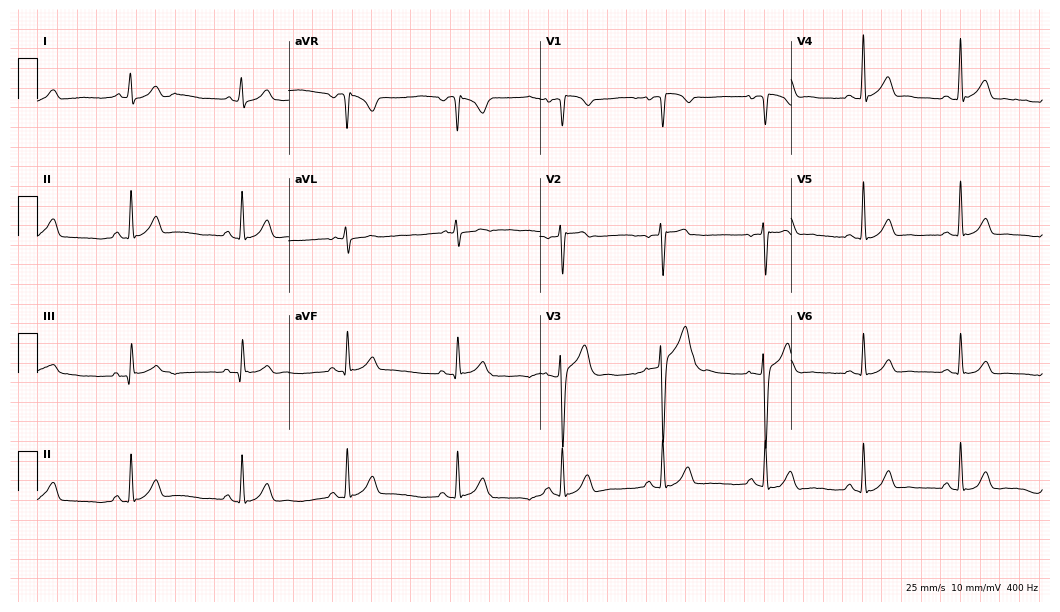
ECG — a male patient, 33 years old. Labelled as a normal ECG.